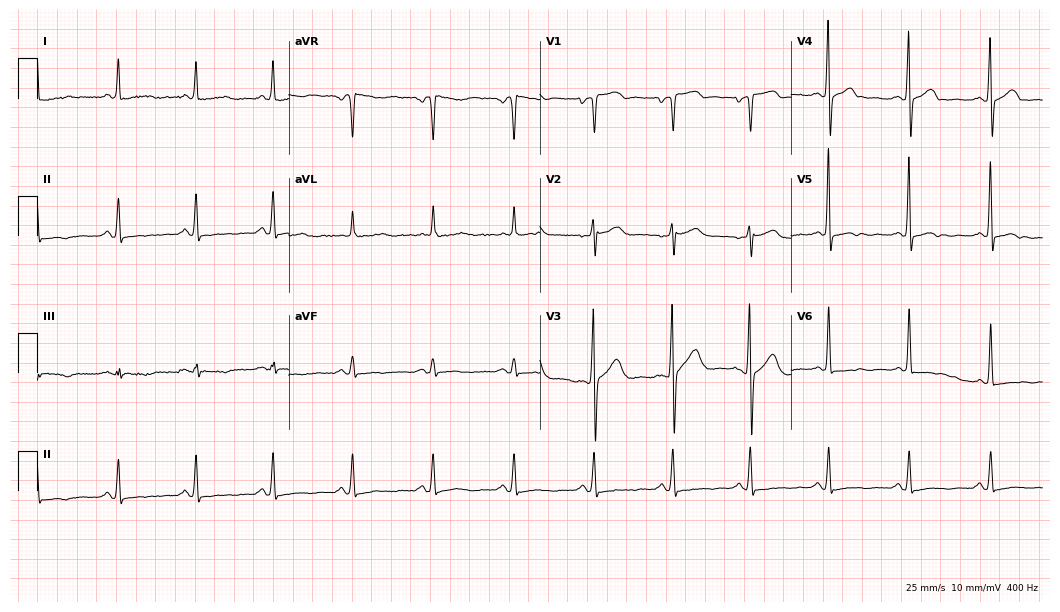
ECG (10.2-second recording at 400 Hz) — a male, 44 years old. Screened for six findings — first-degree AV block, right bundle branch block, left bundle branch block, sinus bradycardia, atrial fibrillation, sinus tachycardia — none is recorded. Only these six findings were labelled.